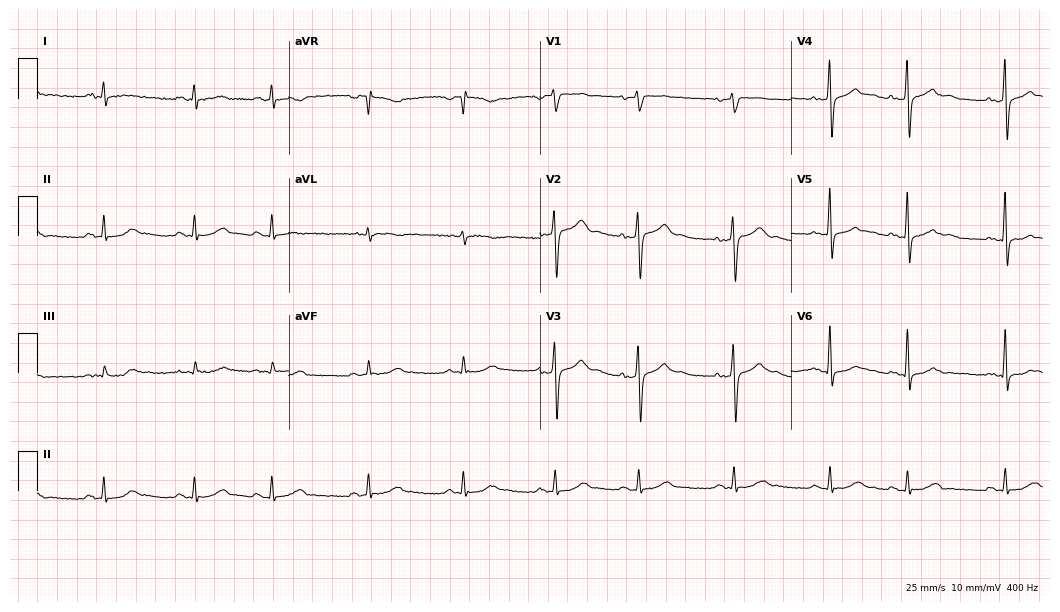
Standard 12-lead ECG recorded from a 55-year-old male. Read as a normal ECG.